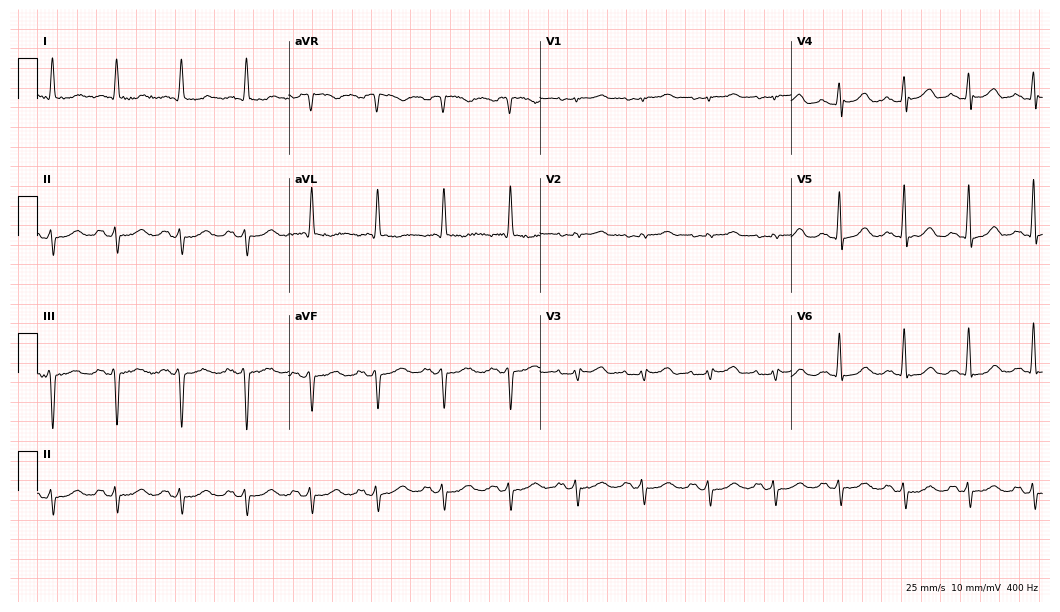
ECG — an 80-year-old female. Screened for six findings — first-degree AV block, right bundle branch block (RBBB), left bundle branch block (LBBB), sinus bradycardia, atrial fibrillation (AF), sinus tachycardia — none is recorded.